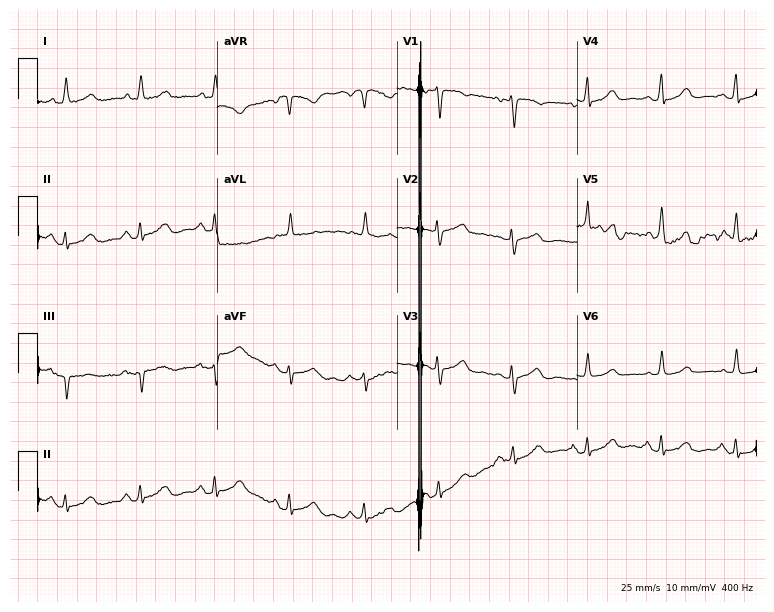
ECG — a 76-year-old female. Screened for six findings — first-degree AV block, right bundle branch block (RBBB), left bundle branch block (LBBB), sinus bradycardia, atrial fibrillation (AF), sinus tachycardia — none is recorded. Findings outside these six are not listed.